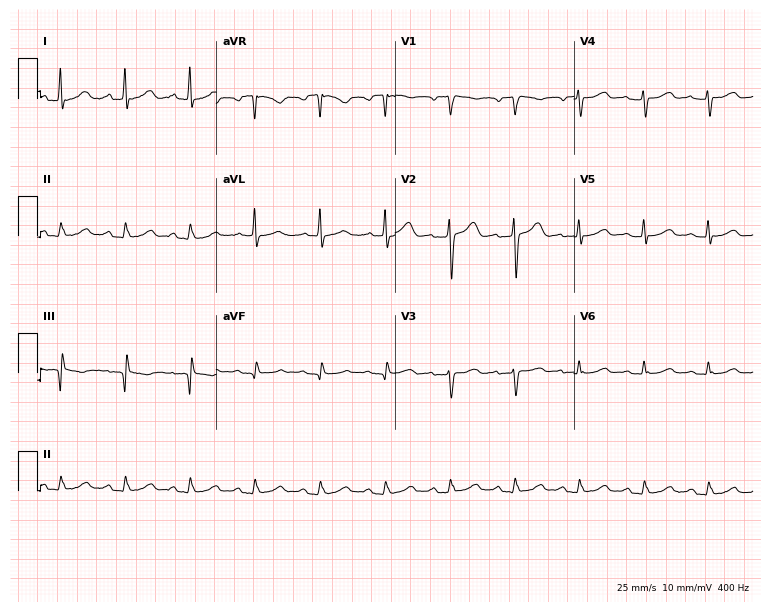
ECG — a female, 54 years old. Screened for six findings — first-degree AV block, right bundle branch block, left bundle branch block, sinus bradycardia, atrial fibrillation, sinus tachycardia — none is recorded.